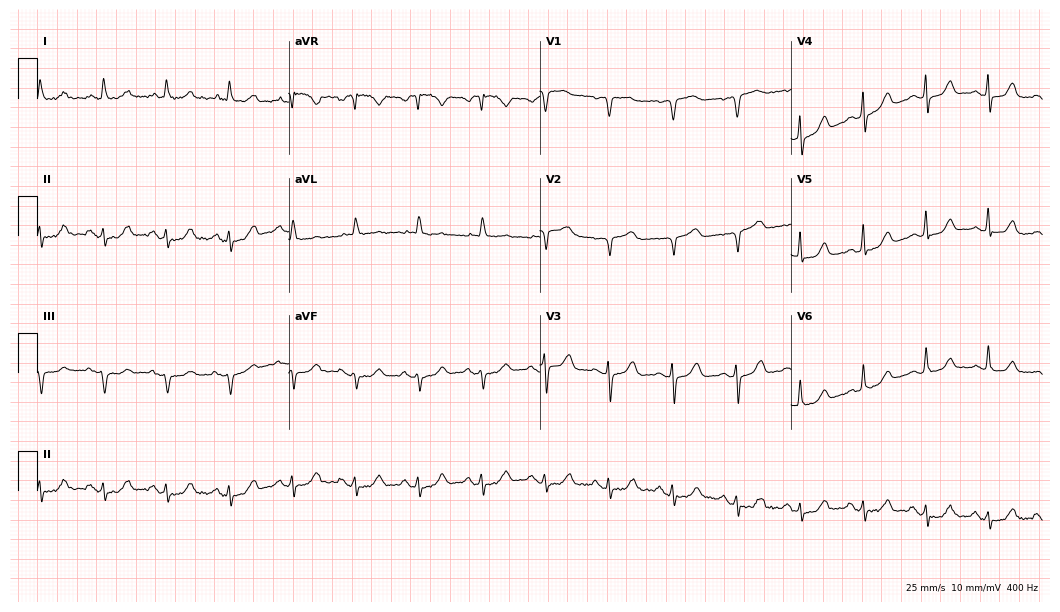
Electrocardiogram, a female patient, 74 years old. Of the six screened findings (first-degree AV block, right bundle branch block, left bundle branch block, sinus bradycardia, atrial fibrillation, sinus tachycardia), none is recorded.